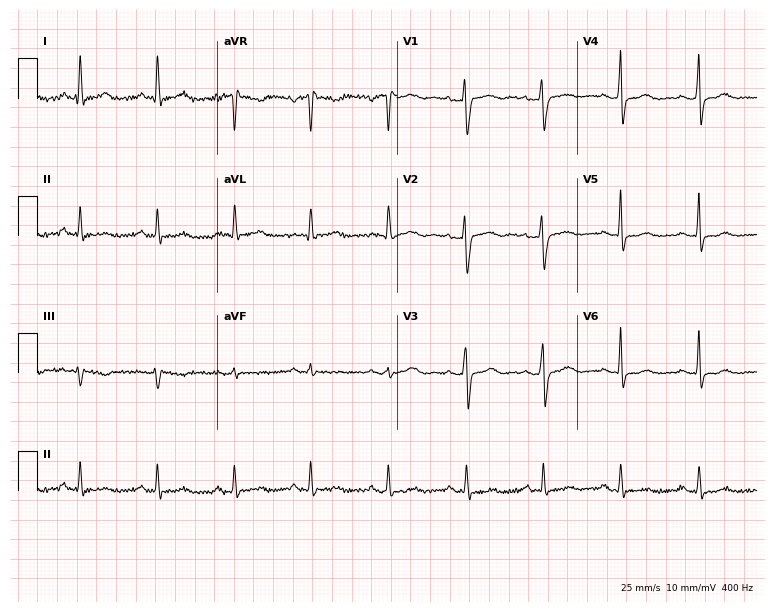
Resting 12-lead electrocardiogram. Patient: a 50-year-old woman. None of these six findings is recorded: first-degree AV block, right bundle branch block, left bundle branch block, sinus bradycardia, atrial fibrillation, sinus tachycardia. Only these six findings were labelled.